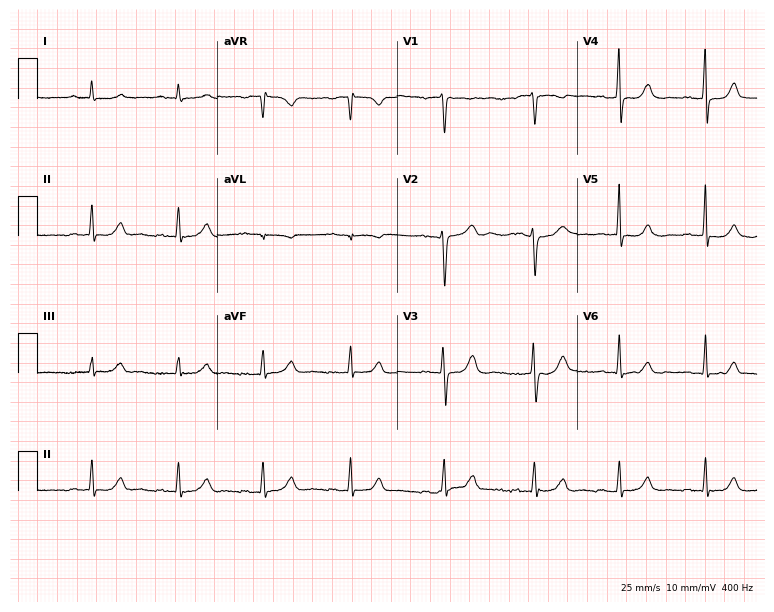
Electrocardiogram (7.3-second recording at 400 Hz), a 49-year-old female. Overall reading on record: normal ECG.